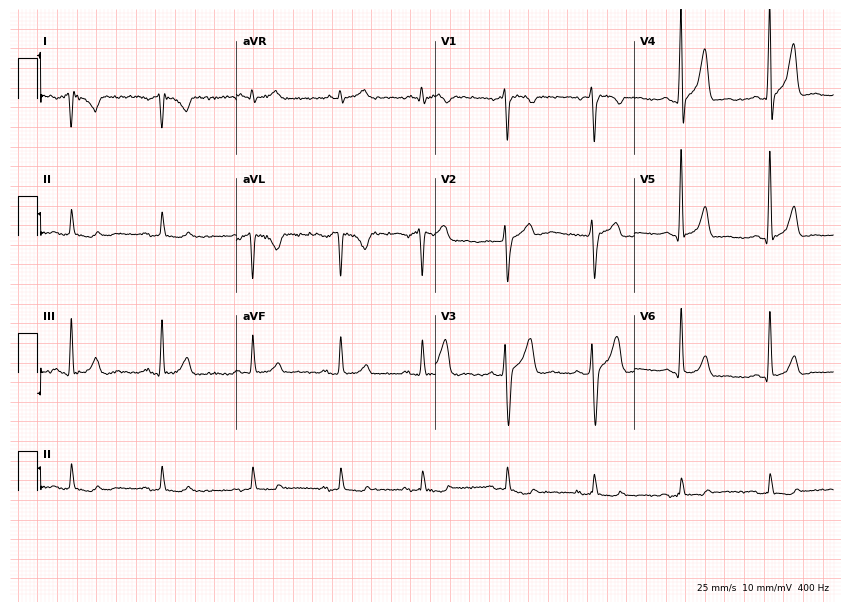
Electrocardiogram, a male, 48 years old. Overall reading on record: normal ECG.